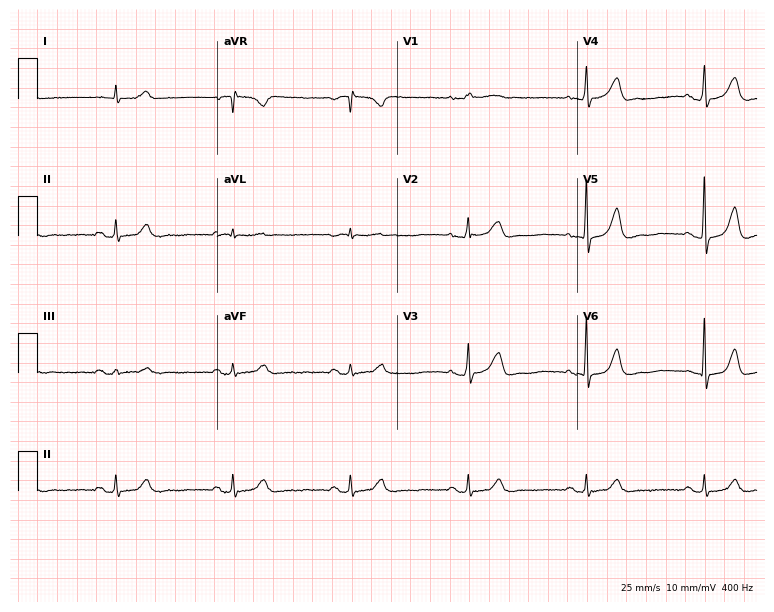
12-lead ECG from a male, 76 years old. Labelled as a normal ECG.